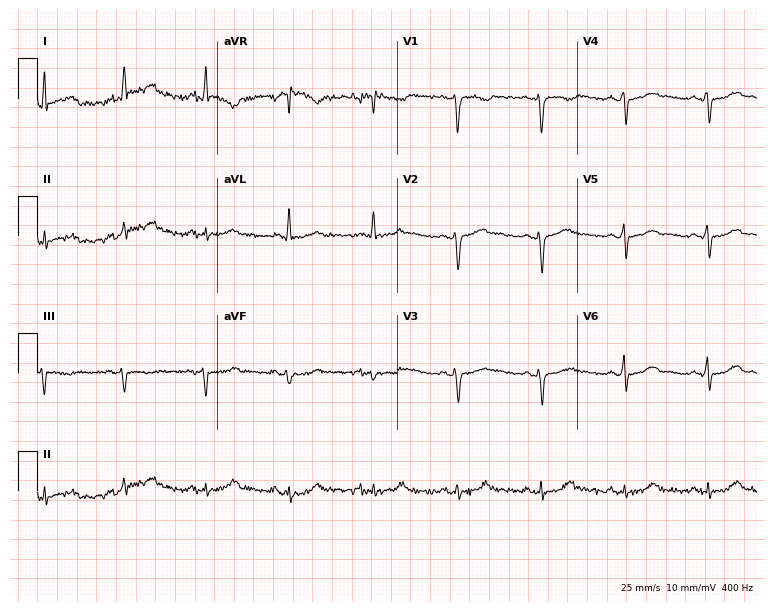
ECG (7.3-second recording at 400 Hz) — a 47-year-old woman. Screened for six findings — first-degree AV block, right bundle branch block (RBBB), left bundle branch block (LBBB), sinus bradycardia, atrial fibrillation (AF), sinus tachycardia — none is recorded.